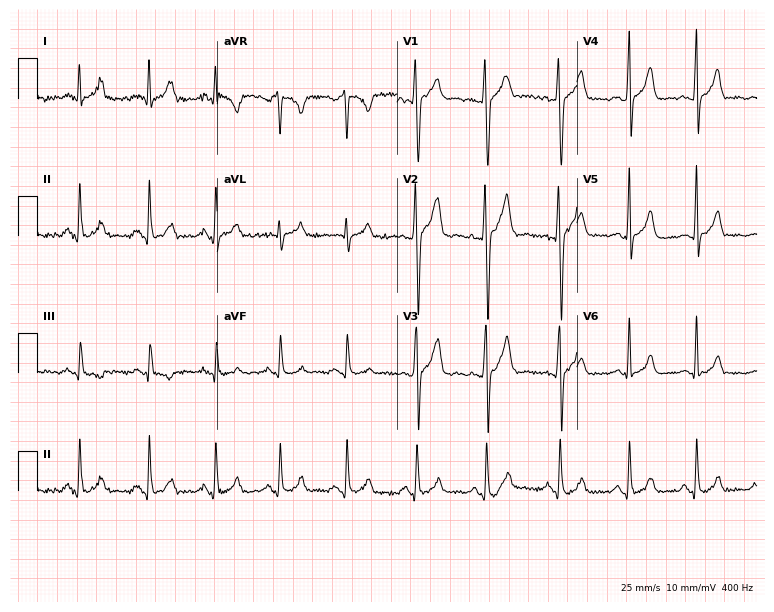
12-lead ECG from a male patient, 21 years old (7.3-second recording at 400 Hz). No first-degree AV block, right bundle branch block (RBBB), left bundle branch block (LBBB), sinus bradycardia, atrial fibrillation (AF) or sinus tachycardia recorded for this tracing.